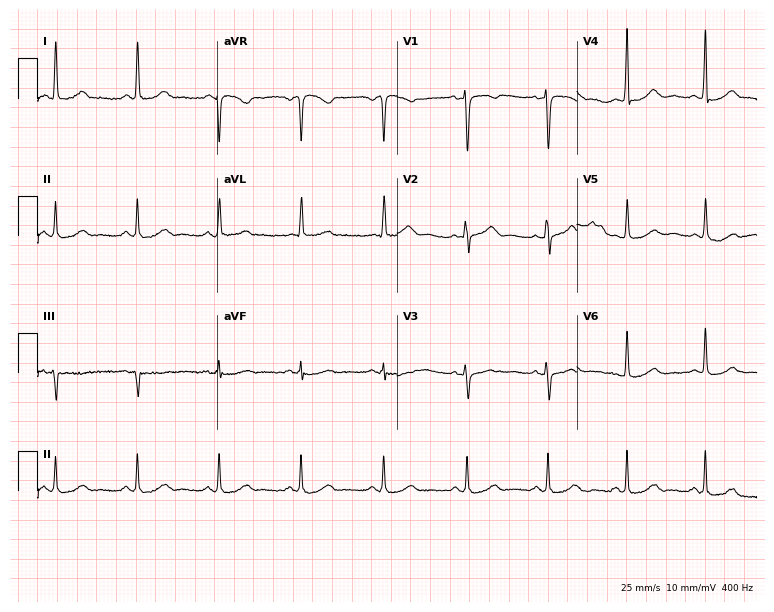
Resting 12-lead electrocardiogram. Patient: a 66-year-old female. None of these six findings is recorded: first-degree AV block, right bundle branch block, left bundle branch block, sinus bradycardia, atrial fibrillation, sinus tachycardia.